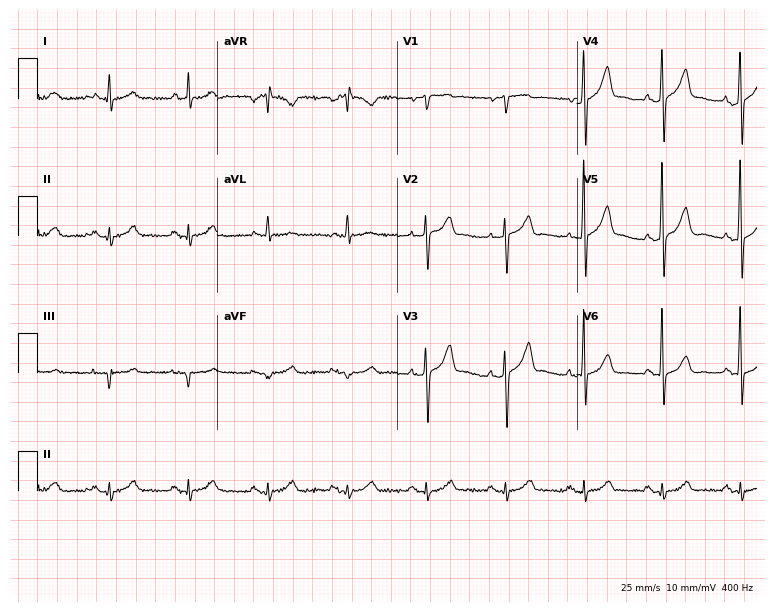
ECG (7.3-second recording at 400 Hz) — a 73-year-old male patient. Labelled as a normal ECG.